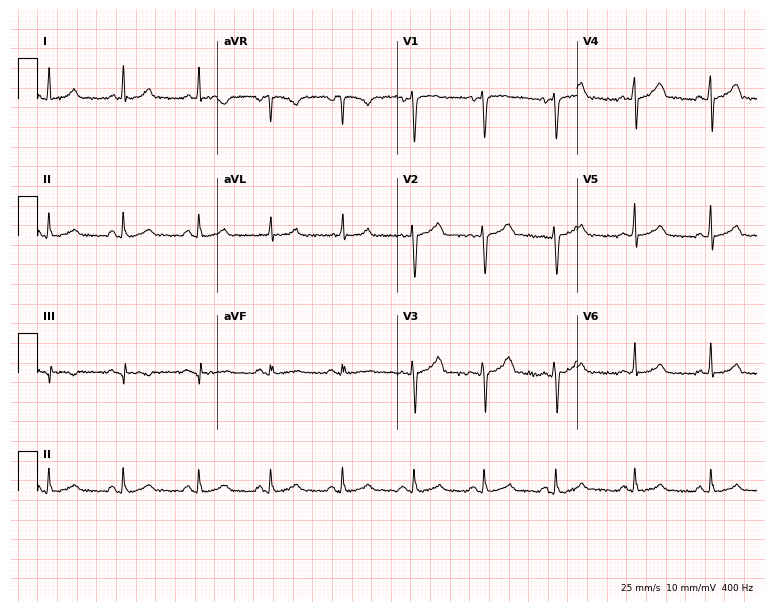
ECG (7.3-second recording at 400 Hz) — a 26-year-old woman. Labelled as a normal ECG.